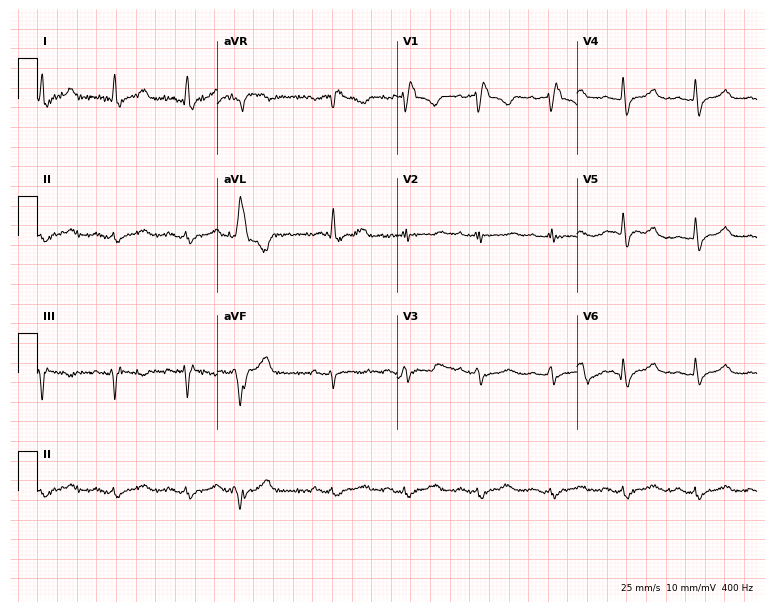
12-lead ECG from a female patient, 76 years old (7.3-second recording at 400 Hz). No first-degree AV block, right bundle branch block, left bundle branch block, sinus bradycardia, atrial fibrillation or sinus tachycardia recorded for this tracing.